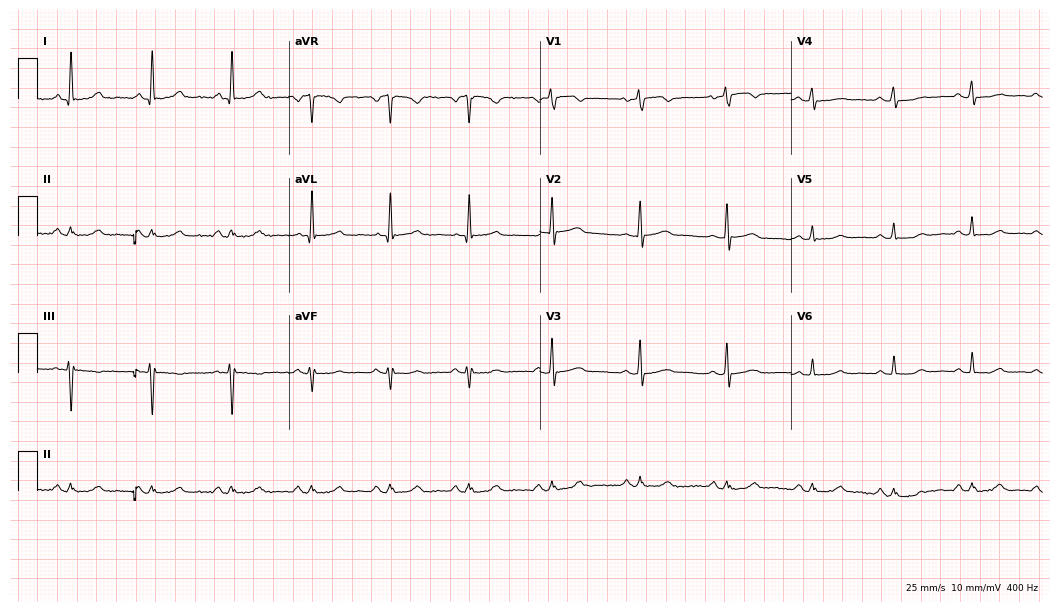
12-lead ECG (10.2-second recording at 400 Hz) from a woman, 53 years old. Screened for six findings — first-degree AV block, right bundle branch block, left bundle branch block, sinus bradycardia, atrial fibrillation, sinus tachycardia — none is recorded.